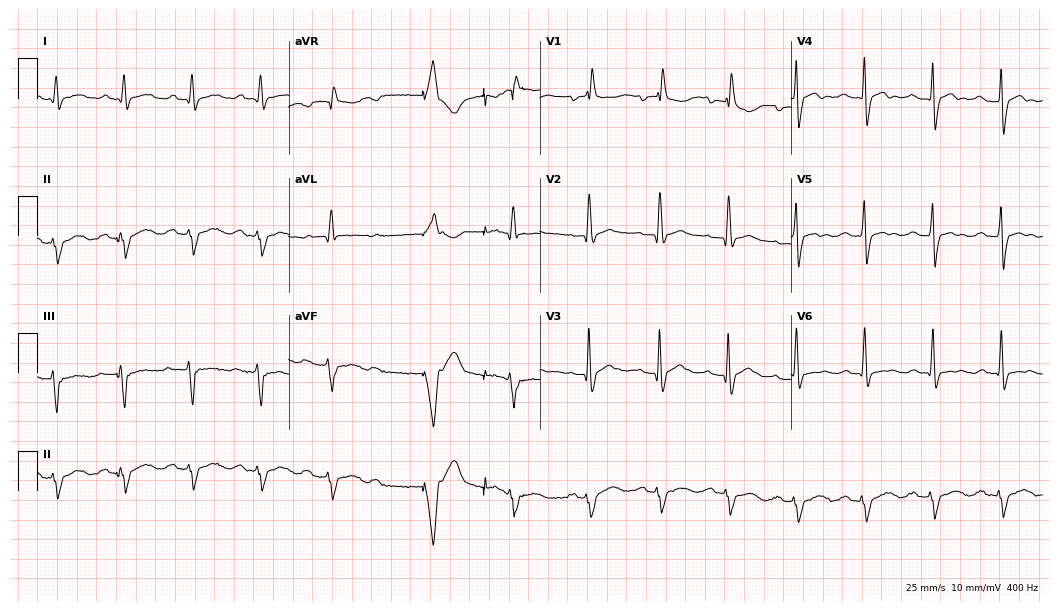
Resting 12-lead electrocardiogram. Patient: an 80-year-old male. None of these six findings is recorded: first-degree AV block, right bundle branch block, left bundle branch block, sinus bradycardia, atrial fibrillation, sinus tachycardia. Findings outside these six are not listed.